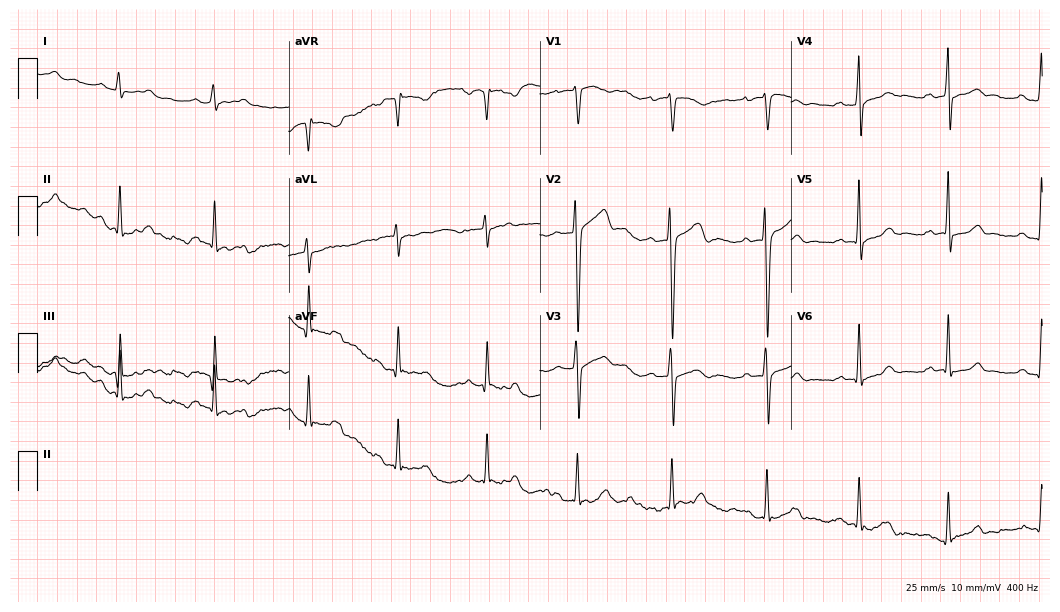
12-lead ECG from a 26-year-old male (10.2-second recording at 400 Hz). No first-degree AV block, right bundle branch block (RBBB), left bundle branch block (LBBB), sinus bradycardia, atrial fibrillation (AF) or sinus tachycardia recorded for this tracing.